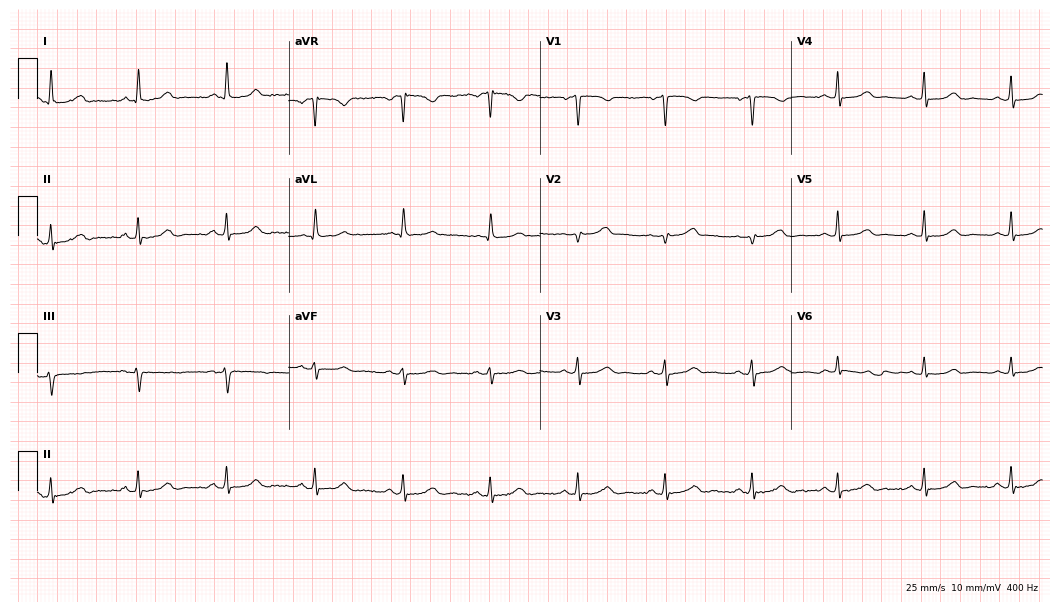
Electrocardiogram (10.2-second recording at 400 Hz), a female patient, 52 years old. Overall reading on record: normal ECG.